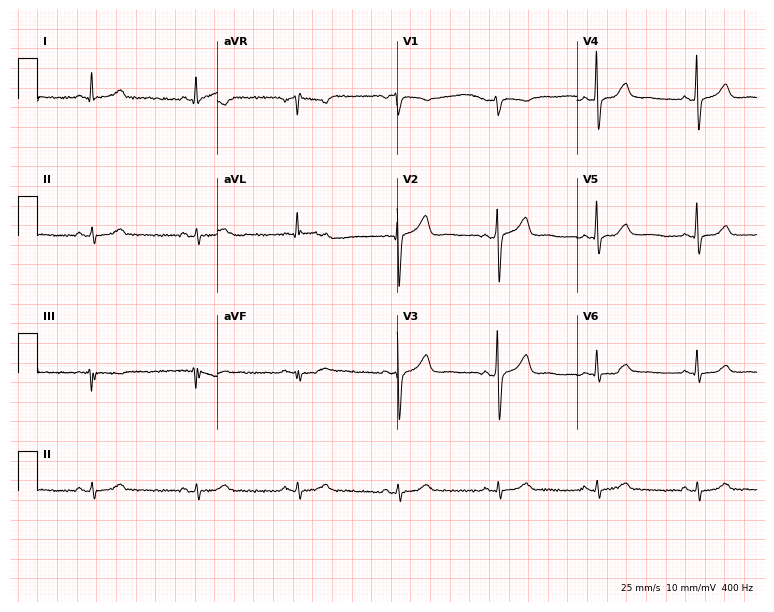
12-lead ECG from a male patient, 63 years old. No first-degree AV block, right bundle branch block, left bundle branch block, sinus bradycardia, atrial fibrillation or sinus tachycardia recorded for this tracing.